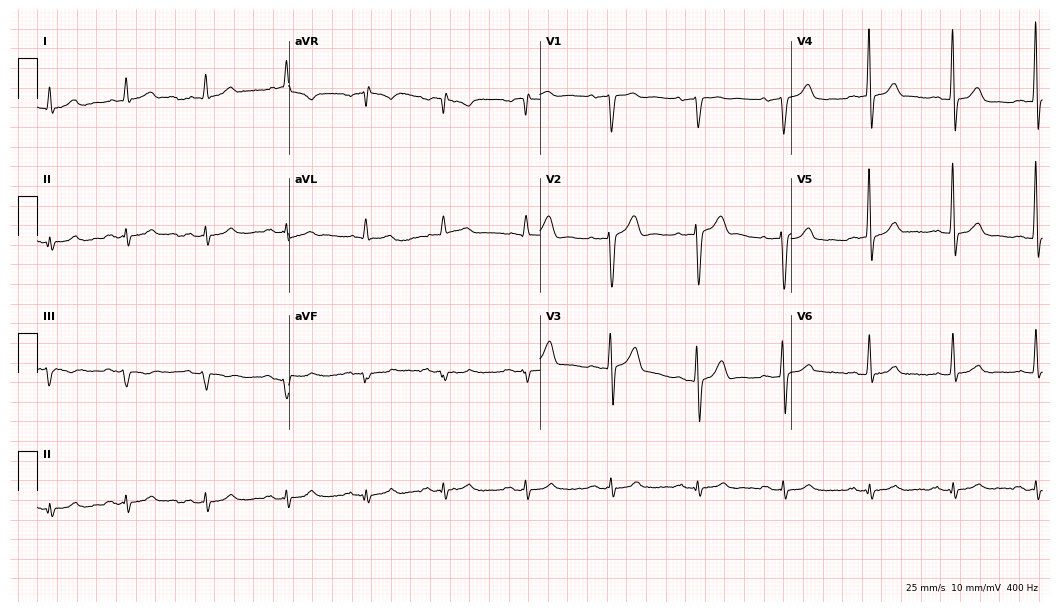
12-lead ECG (10.2-second recording at 400 Hz) from a 60-year-old man. Labelled as a normal ECG.